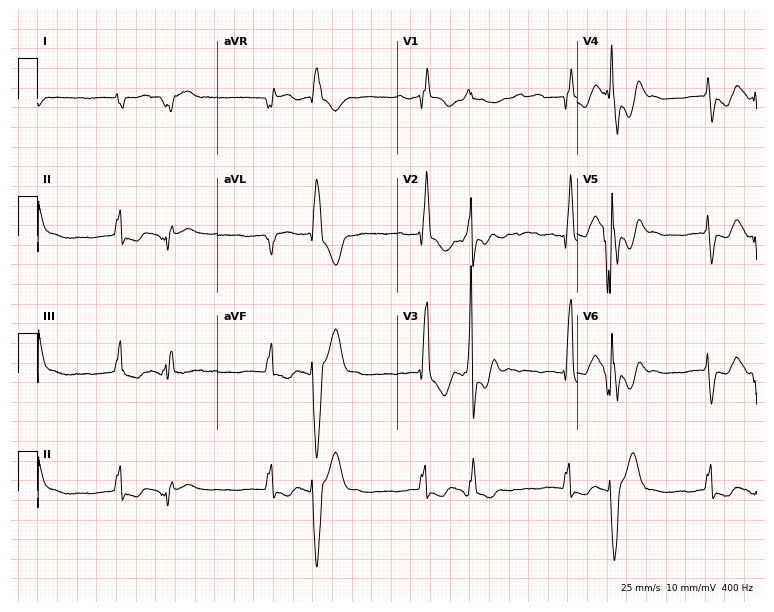
Standard 12-lead ECG recorded from a female patient, 69 years old. The tracing shows first-degree AV block, right bundle branch block, atrial fibrillation.